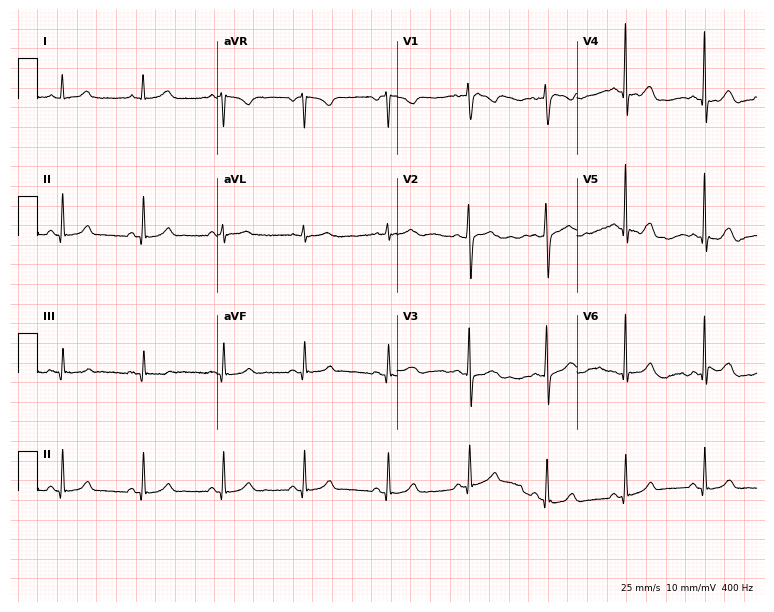
12-lead ECG from a woman, 39 years old. Labelled as a normal ECG.